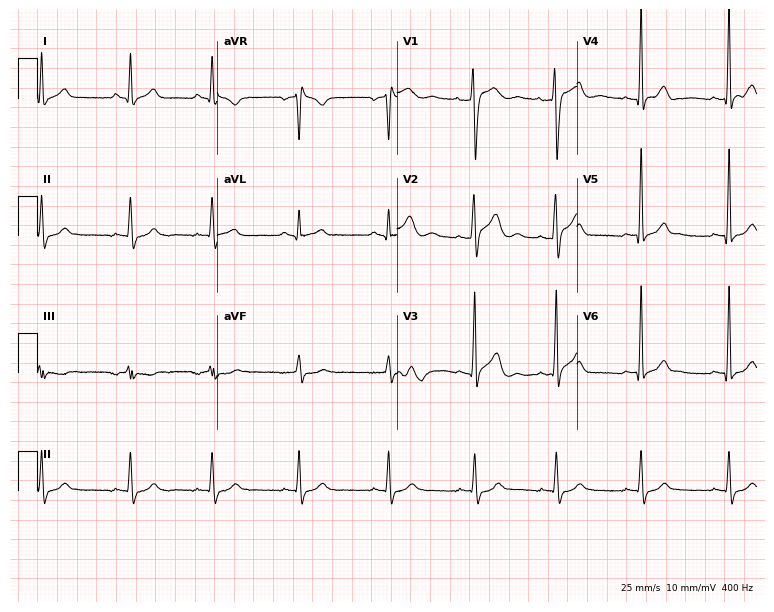
12-lead ECG from a male patient, 24 years old. No first-degree AV block, right bundle branch block (RBBB), left bundle branch block (LBBB), sinus bradycardia, atrial fibrillation (AF) or sinus tachycardia recorded for this tracing. Only these six findings were labelled.